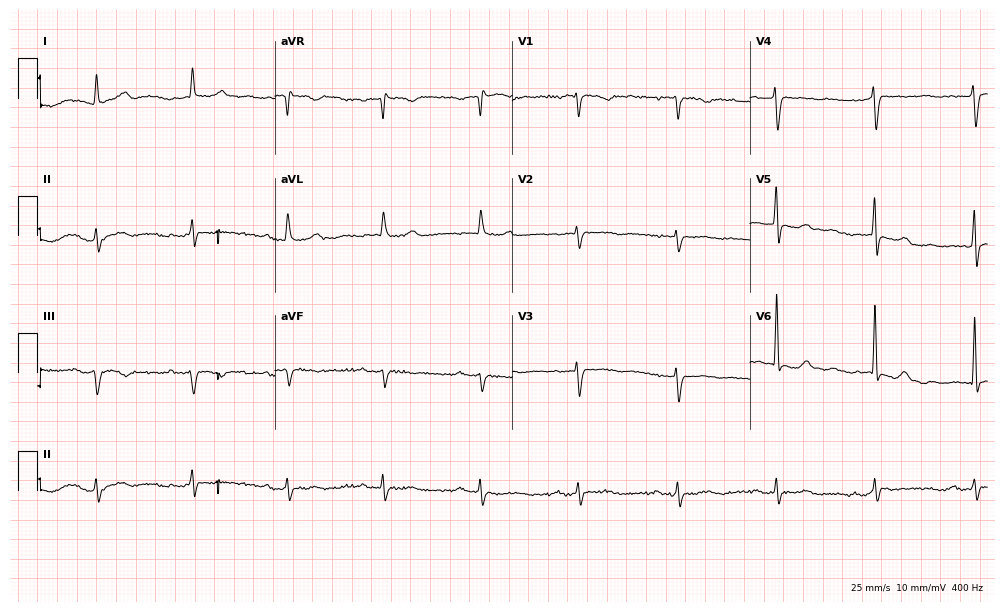
12-lead ECG from an 82-year-old male. No first-degree AV block, right bundle branch block, left bundle branch block, sinus bradycardia, atrial fibrillation or sinus tachycardia recorded for this tracing.